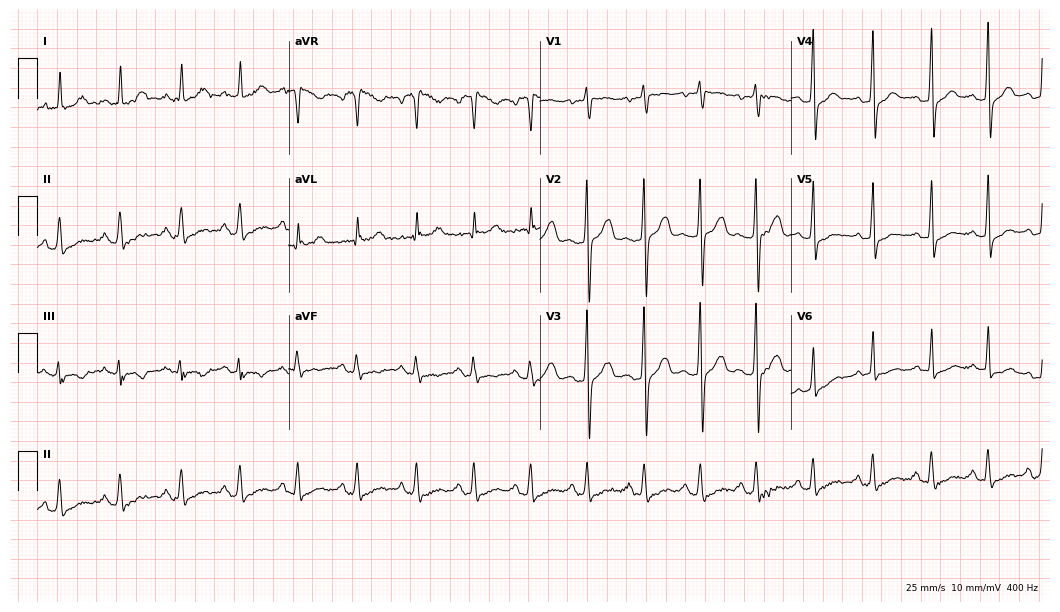
Electrocardiogram, a 38-year-old female patient. Of the six screened findings (first-degree AV block, right bundle branch block (RBBB), left bundle branch block (LBBB), sinus bradycardia, atrial fibrillation (AF), sinus tachycardia), none is recorded.